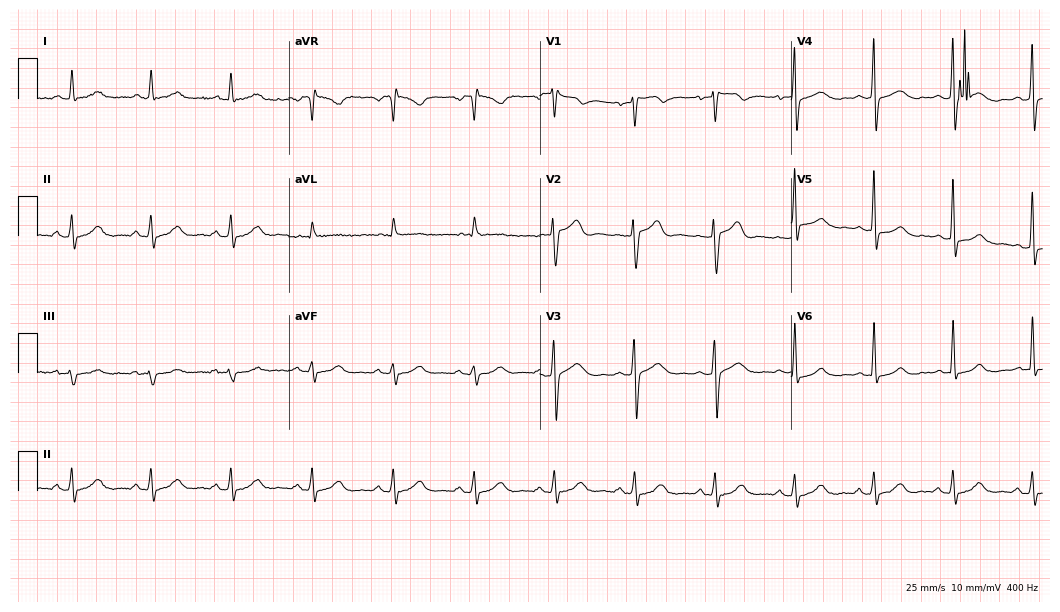
Electrocardiogram (10.2-second recording at 400 Hz), a 53-year-old male. Overall reading on record: normal ECG.